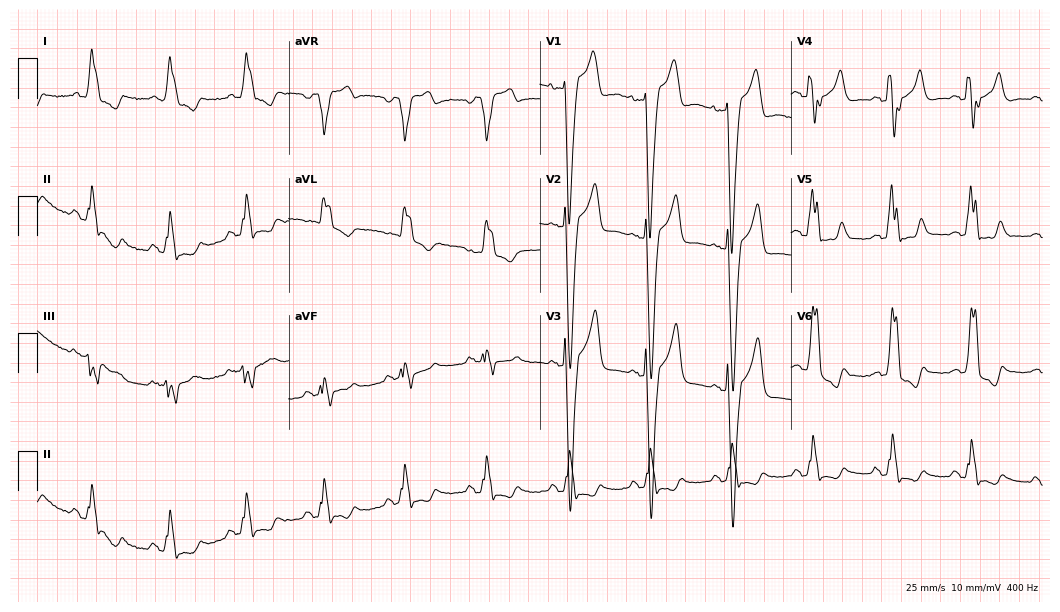
ECG (10.2-second recording at 400 Hz) — a 51-year-old man. Findings include left bundle branch block.